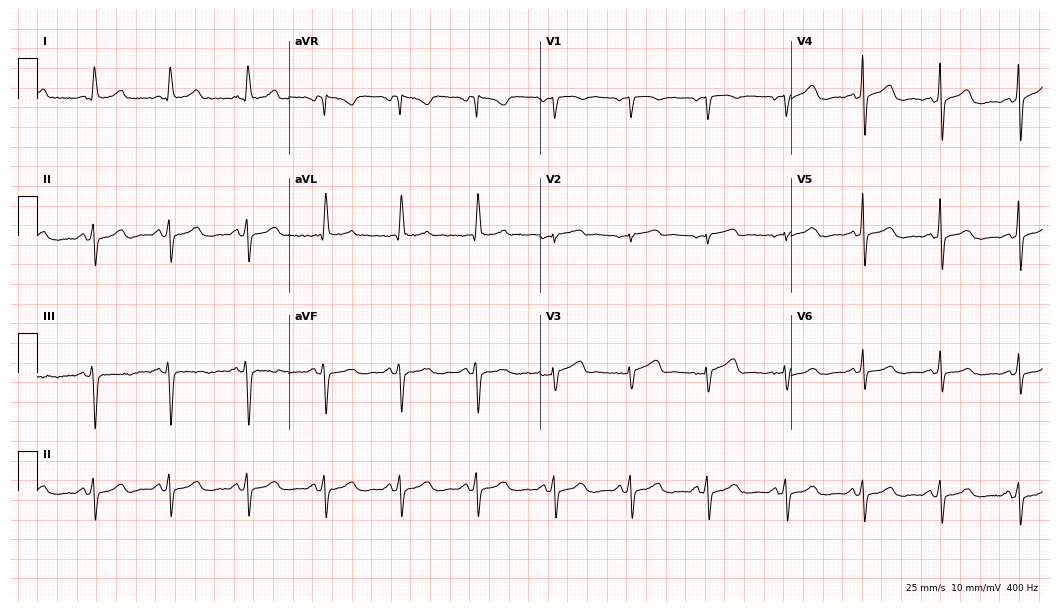
Standard 12-lead ECG recorded from a female, 68 years old (10.2-second recording at 400 Hz). Read as a normal ECG.